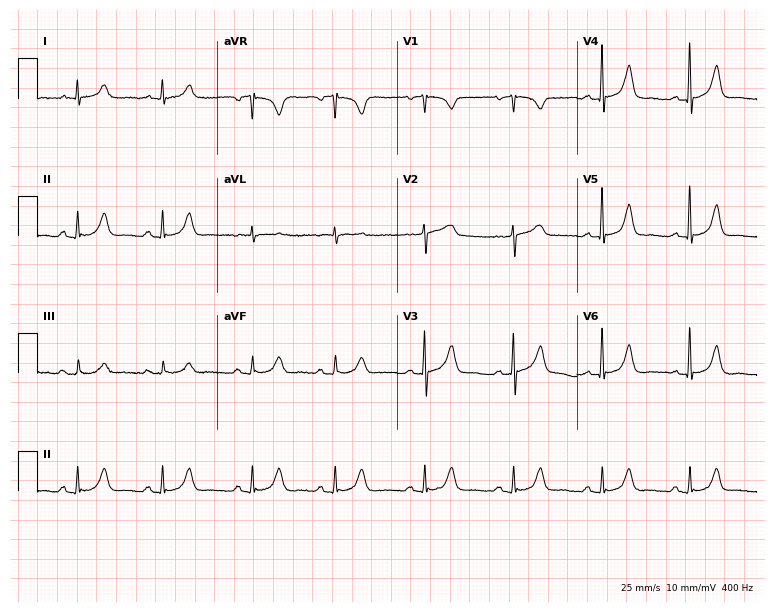
ECG (7.3-second recording at 400 Hz) — a woman, 60 years old. Labelled as a normal ECG.